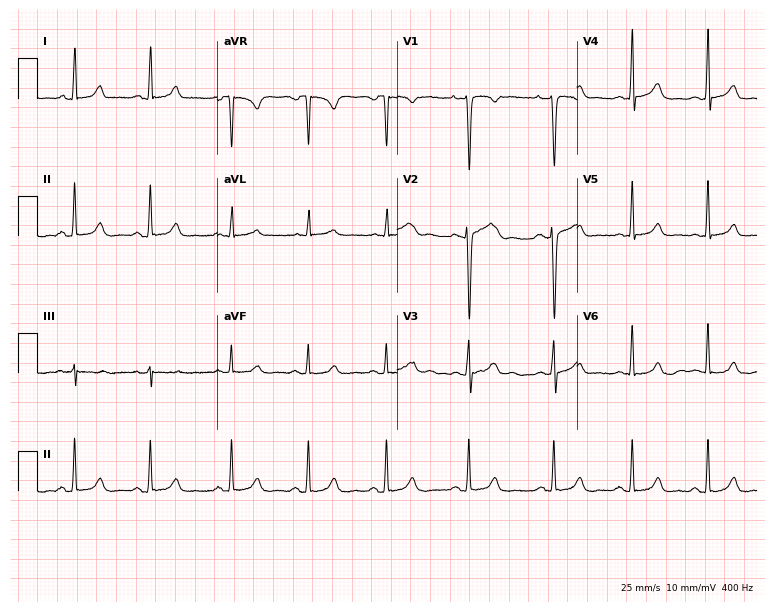
Standard 12-lead ECG recorded from a 28-year-old woman. None of these six findings is recorded: first-degree AV block, right bundle branch block (RBBB), left bundle branch block (LBBB), sinus bradycardia, atrial fibrillation (AF), sinus tachycardia.